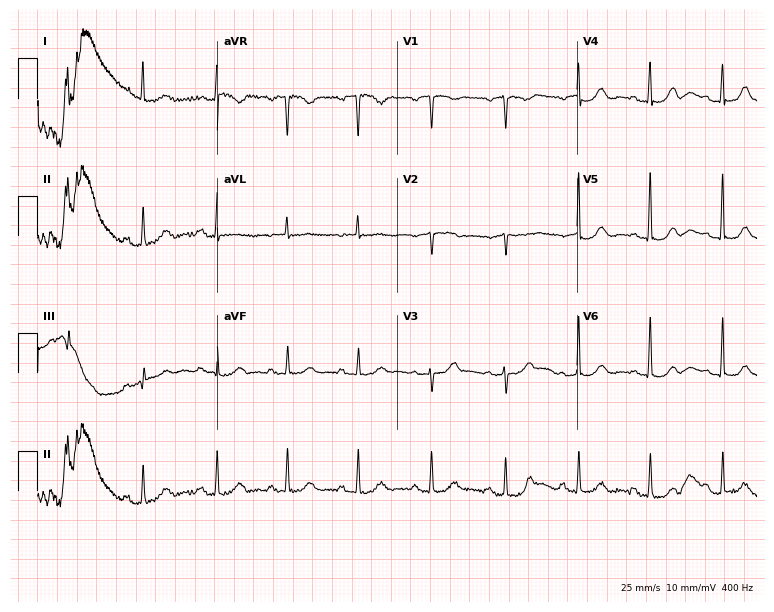
Standard 12-lead ECG recorded from a female, 82 years old (7.3-second recording at 400 Hz). None of these six findings is recorded: first-degree AV block, right bundle branch block (RBBB), left bundle branch block (LBBB), sinus bradycardia, atrial fibrillation (AF), sinus tachycardia. Findings outside these six are not listed.